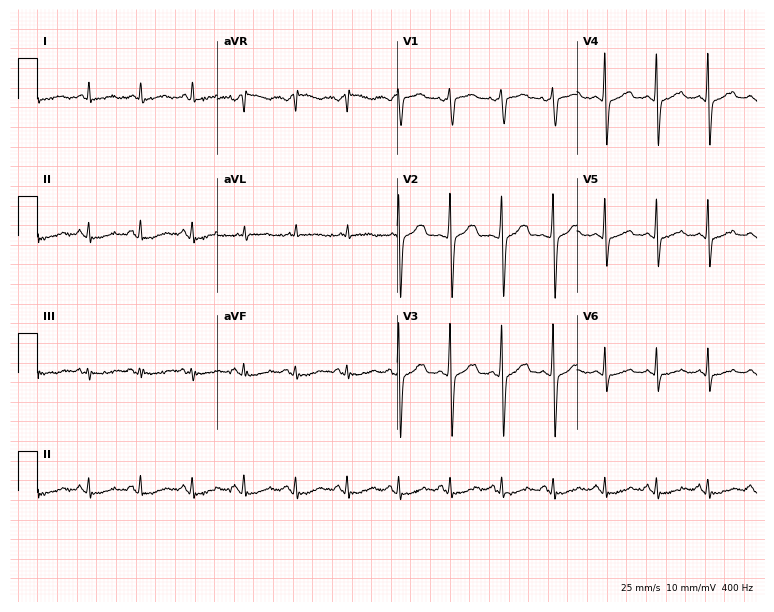
Standard 12-lead ECG recorded from a female, 52 years old (7.3-second recording at 400 Hz). The tracing shows sinus tachycardia (a sinus rate of 100 beats per minute or more).